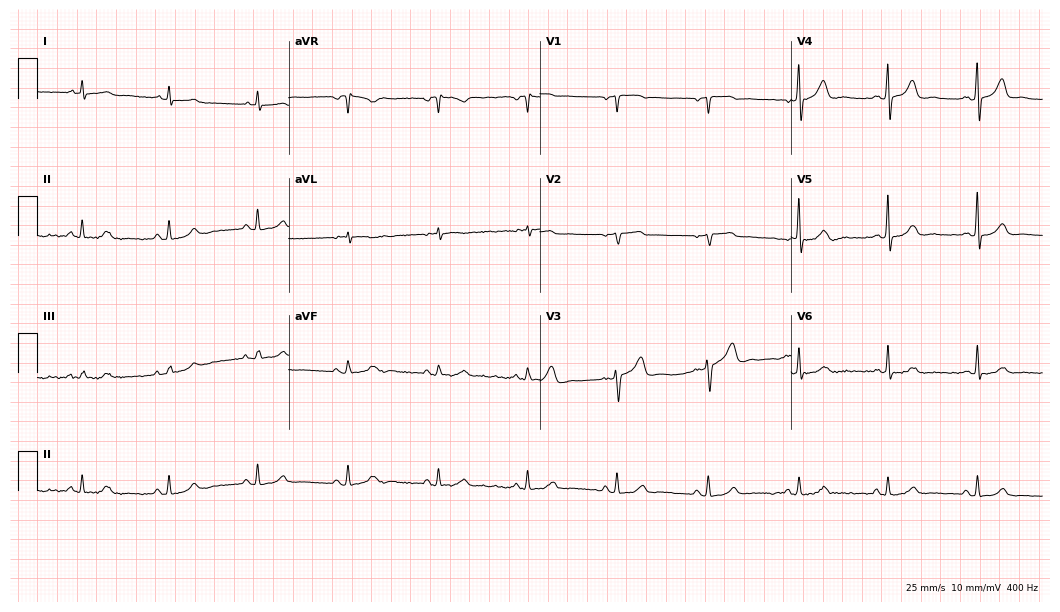
12-lead ECG from an 84-year-old man. Recorded interpretation: within normal limits.